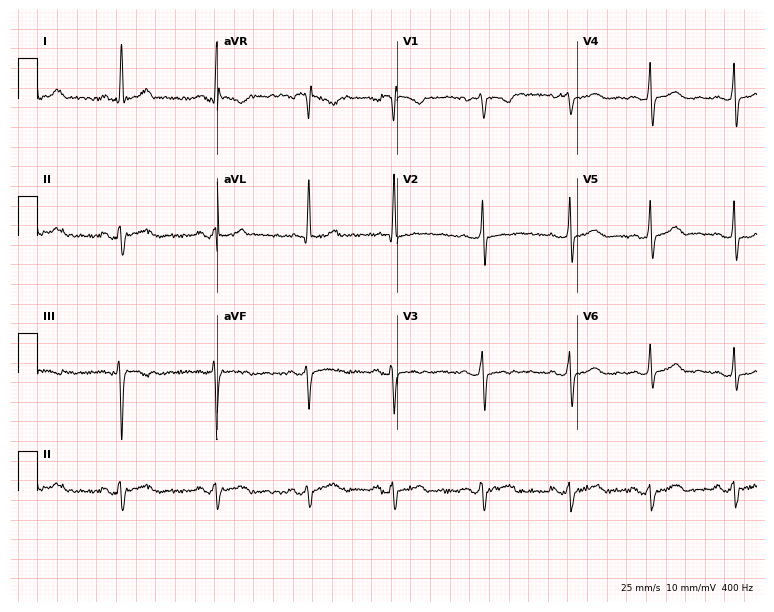
ECG (7.3-second recording at 400 Hz) — a female patient, 40 years old. Screened for six findings — first-degree AV block, right bundle branch block, left bundle branch block, sinus bradycardia, atrial fibrillation, sinus tachycardia — none is recorded. Findings outside these six are not listed.